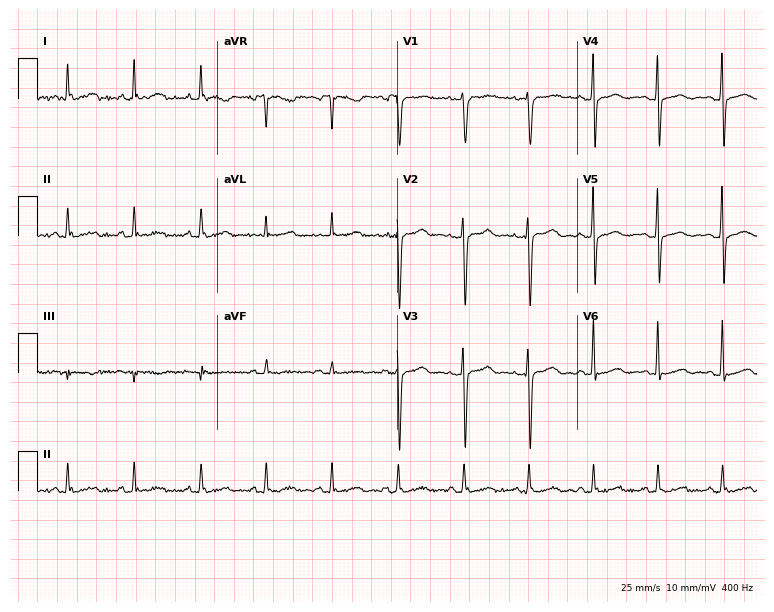
12-lead ECG (7.3-second recording at 400 Hz) from a 43-year-old female. Screened for six findings — first-degree AV block, right bundle branch block, left bundle branch block, sinus bradycardia, atrial fibrillation, sinus tachycardia — none is recorded.